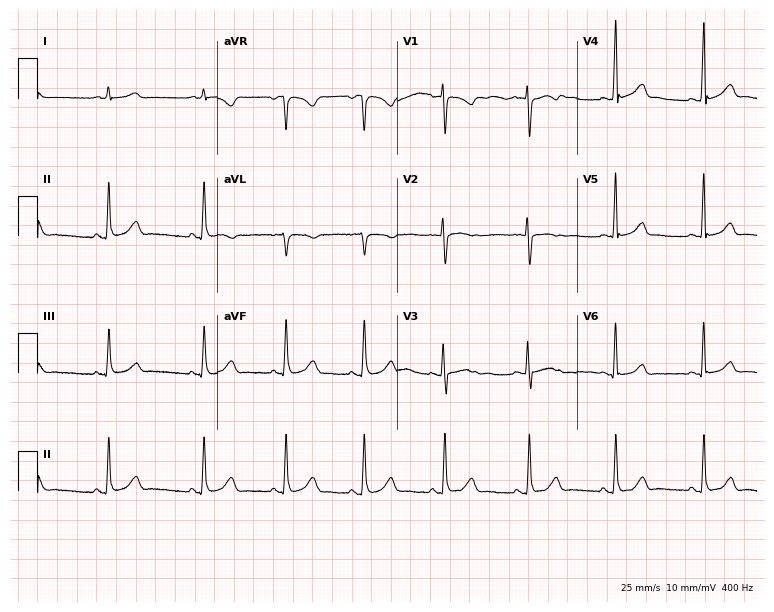
ECG — a 19-year-old woman. Labelled as a normal ECG.